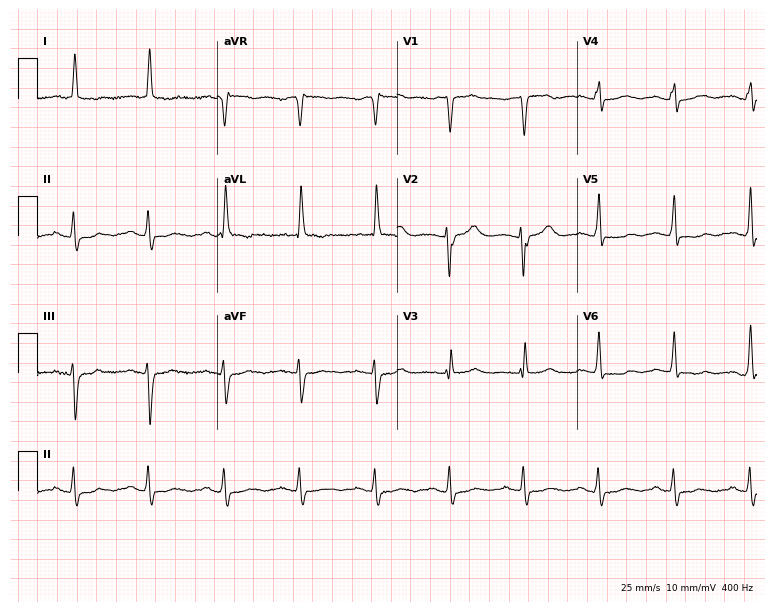
Standard 12-lead ECG recorded from an 85-year-old female (7.3-second recording at 400 Hz). None of these six findings is recorded: first-degree AV block, right bundle branch block, left bundle branch block, sinus bradycardia, atrial fibrillation, sinus tachycardia. Findings outside these six are not listed.